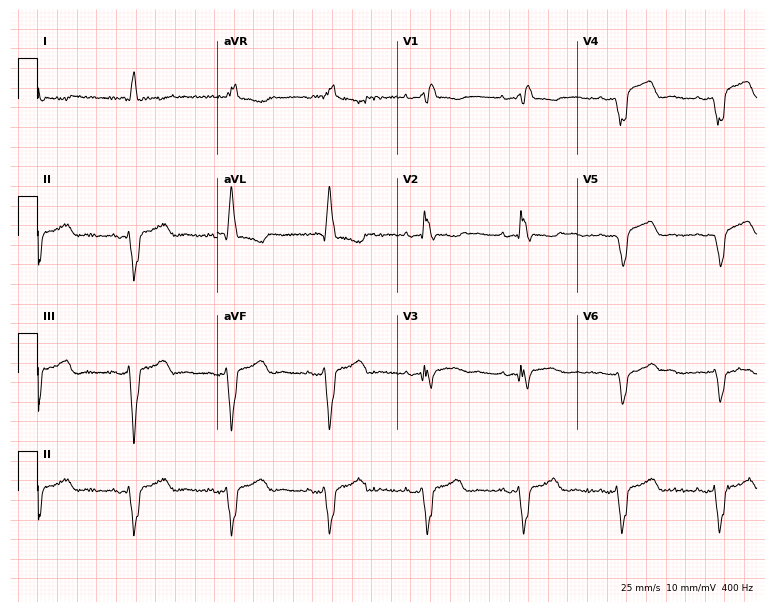
12-lead ECG from a female, 76 years old. Findings include right bundle branch block.